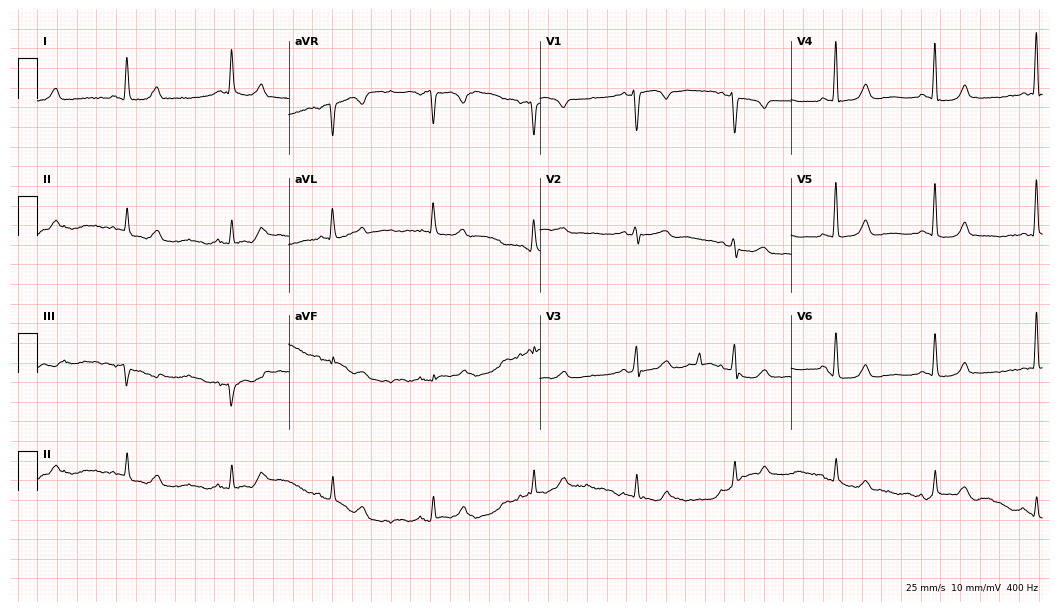
ECG (10.2-second recording at 400 Hz) — a female patient, 72 years old. Labelled as a normal ECG.